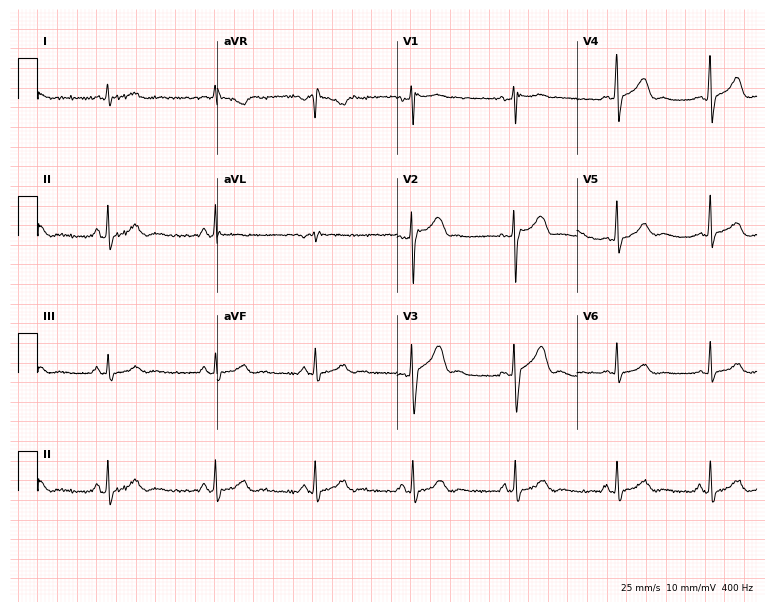
12-lead ECG from a man, 36 years old. Recorded interpretation: within normal limits.